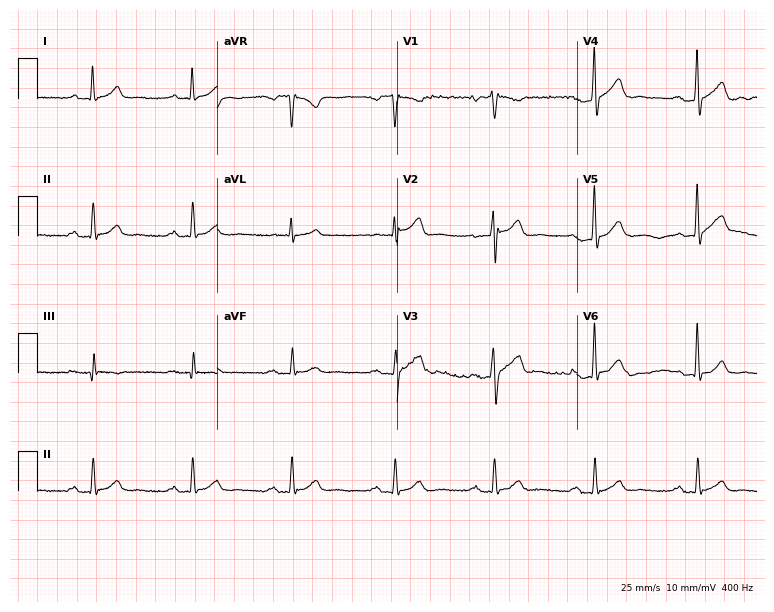
ECG (7.3-second recording at 400 Hz) — a man, 44 years old. Labelled as a normal ECG.